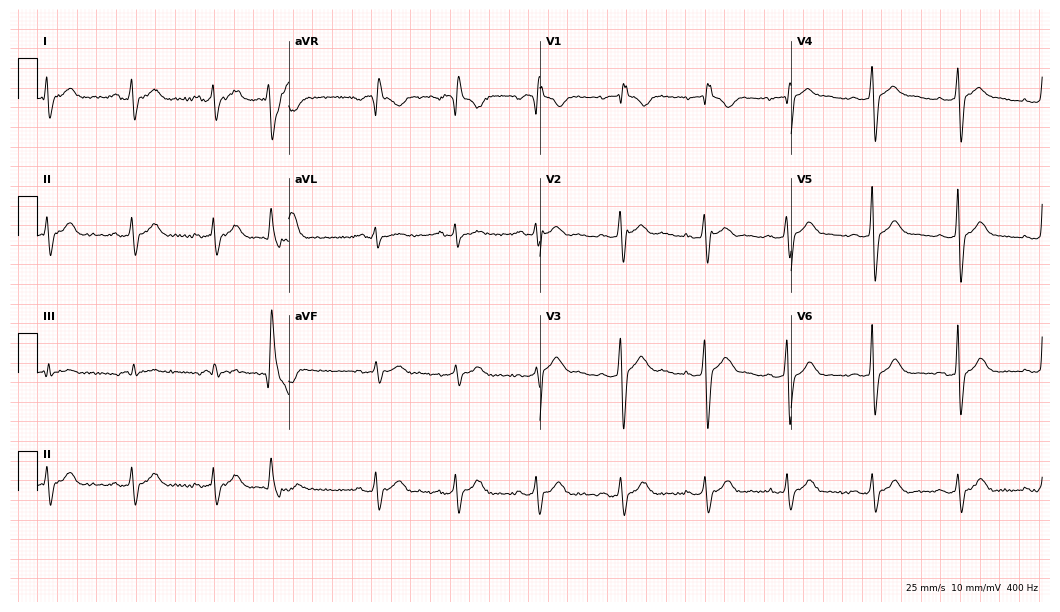
12-lead ECG from a man, 30 years old. Shows right bundle branch block.